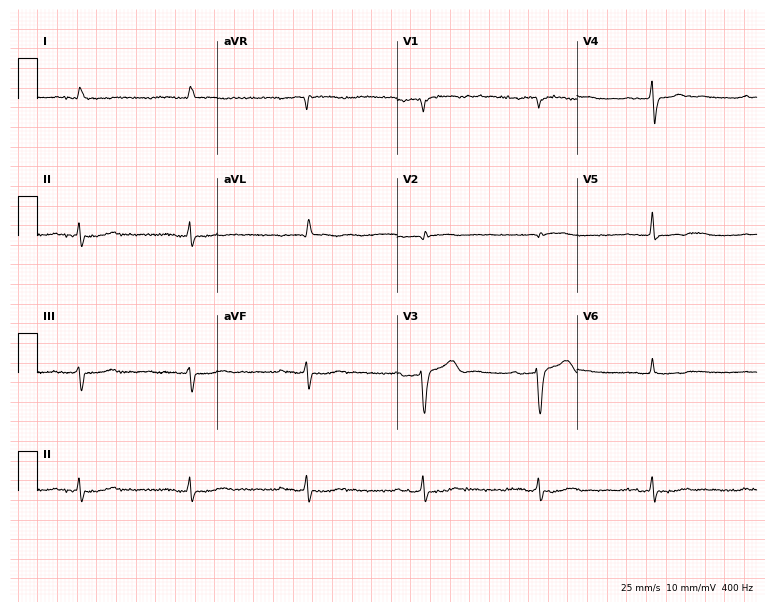
12-lead ECG from an 82-year-old male patient. Screened for six findings — first-degree AV block, right bundle branch block, left bundle branch block, sinus bradycardia, atrial fibrillation, sinus tachycardia — none is recorded. Findings outside these six are not listed.